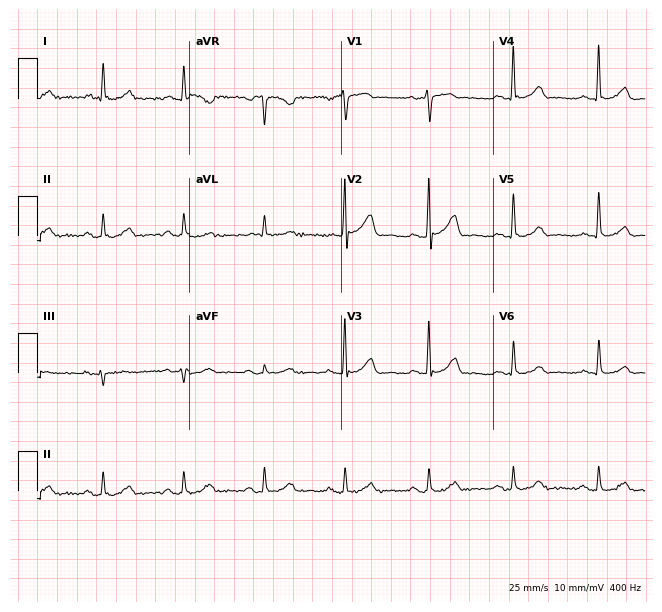
12-lead ECG from a 76-year-old man. No first-degree AV block, right bundle branch block, left bundle branch block, sinus bradycardia, atrial fibrillation or sinus tachycardia recorded for this tracing.